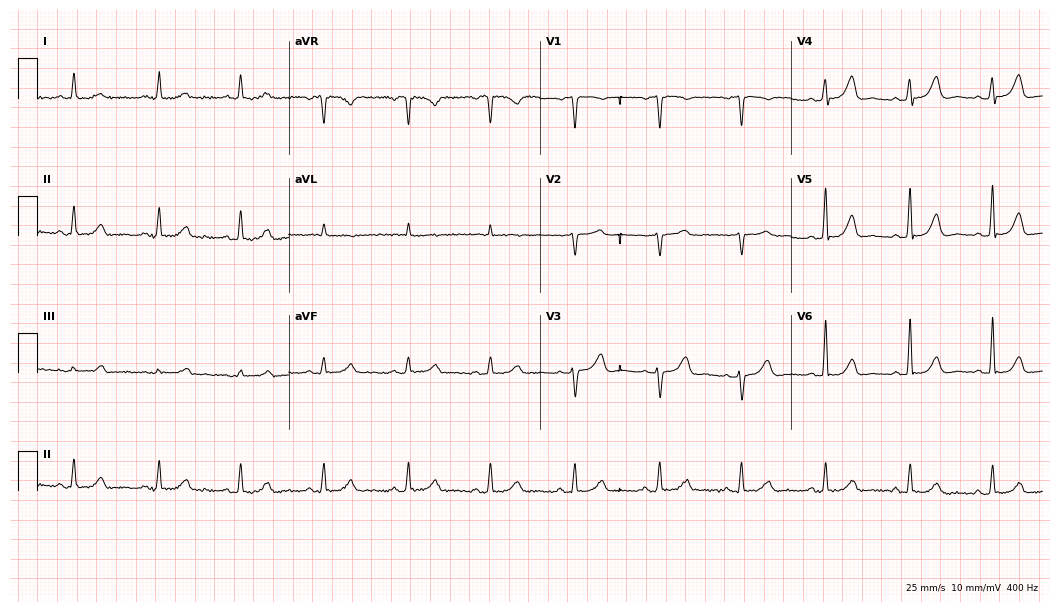
12-lead ECG (10.2-second recording at 400 Hz) from a 67-year-old female. Screened for six findings — first-degree AV block, right bundle branch block, left bundle branch block, sinus bradycardia, atrial fibrillation, sinus tachycardia — none is recorded. Only these six findings were labelled.